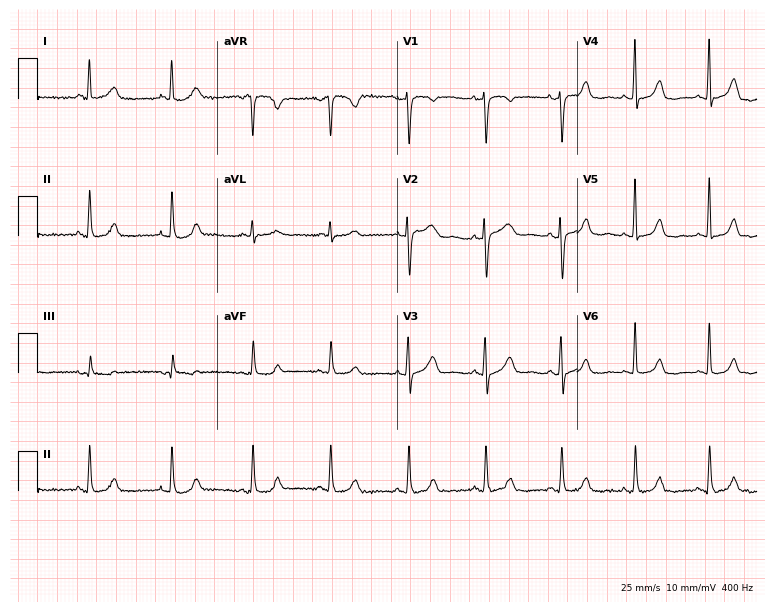
ECG (7.3-second recording at 400 Hz) — a female, 43 years old. Labelled as a normal ECG.